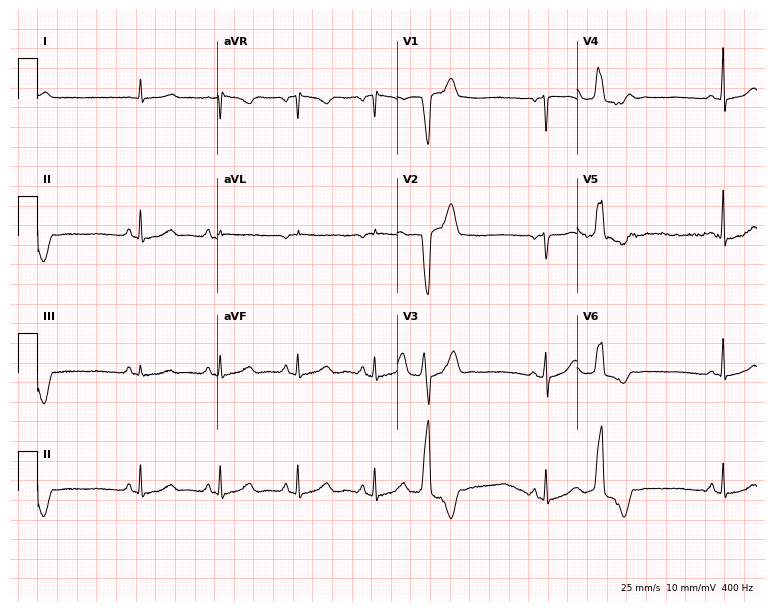
Standard 12-lead ECG recorded from a 50-year-old woman (7.3-second recording at 400 Hz). None of these six findings is recorded: first-degree AV block, right bundle branch block, left bundle branch block, sinus bradycardia, atrial fibrillation, sinus tachycardia.